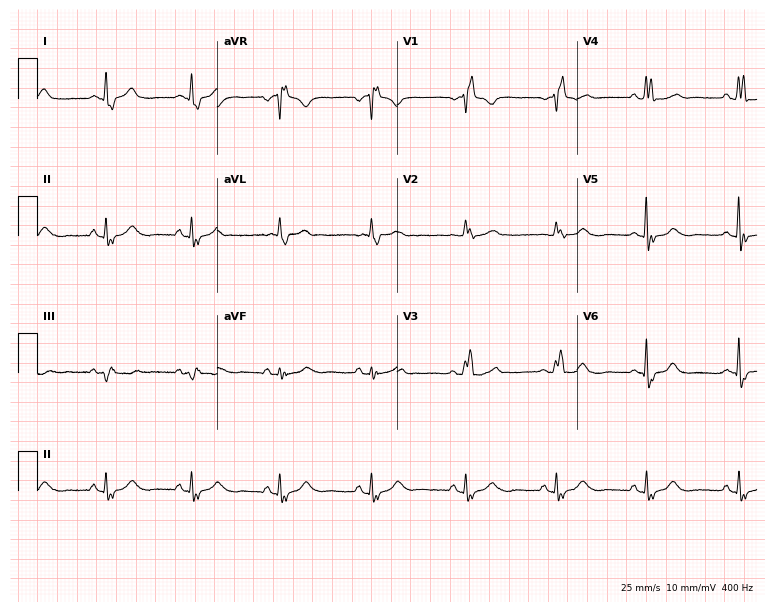
ECG (7.3-second recording at 400 Hz) — a female patient, 78 years old. Screened for six findings — first-degree AV block, right bundle branch block, left bundle branch block, sinus bradycardia, atrial fibrillation, sinus tachycardia — none is recorded. Findings outside these six are not listed.